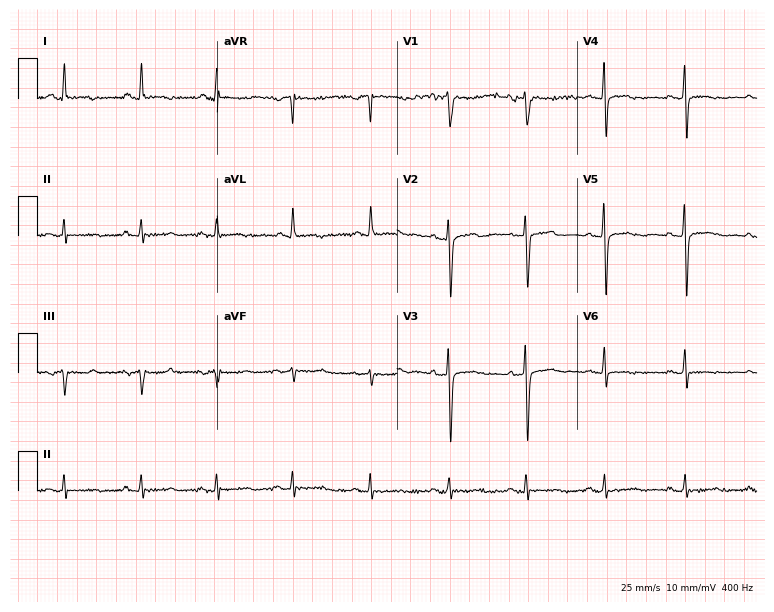
12-lead ECG from a female patient, 57 years old. Screened for six findings — first-degree AV block, right bundle branch block (RBBB), left bundle branch block (LBBB), sinus bradycardia, atrial fibrillation (AF), sinus tachycardia — none is recorded.